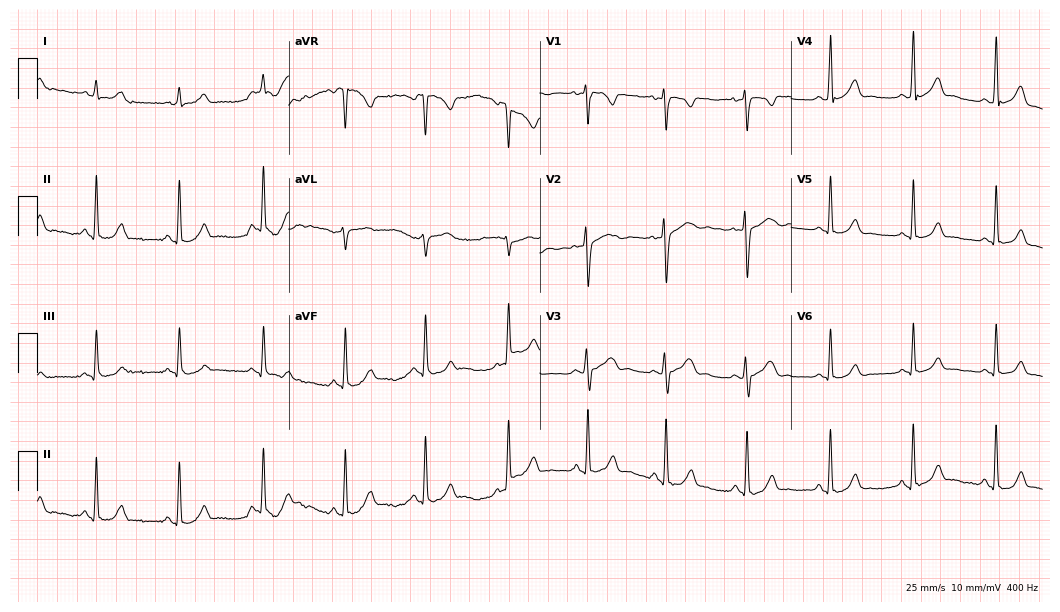
Electrocardiogram (10.2-second recording at 400 Hz), a 19-year-old woman. Overall reading on record: normal ECG.